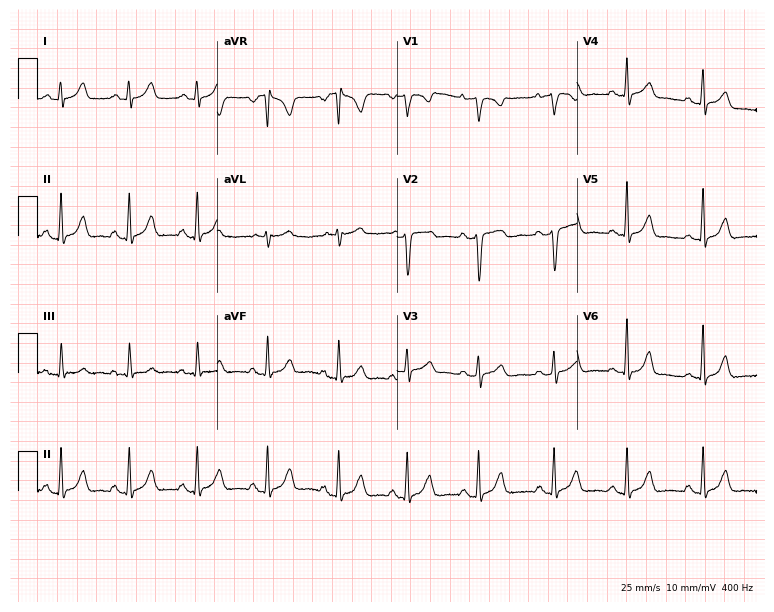
Electrocardiogram (7.3-second recording at 400 Hz), a woman, 21 years old. Overall reading on record: normal ECG.